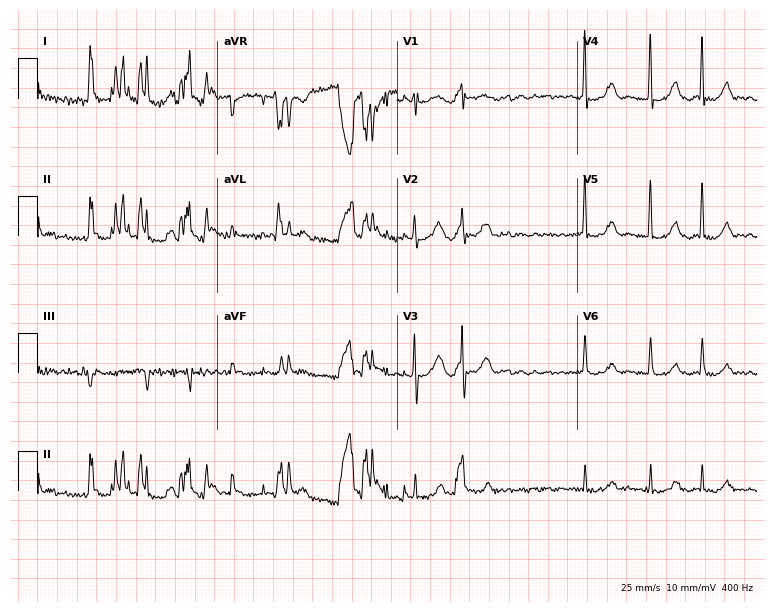
Resting 12-lead electrocardiogram. Patient: a 76-year-old female. The tracing shows atrial fibrillation.